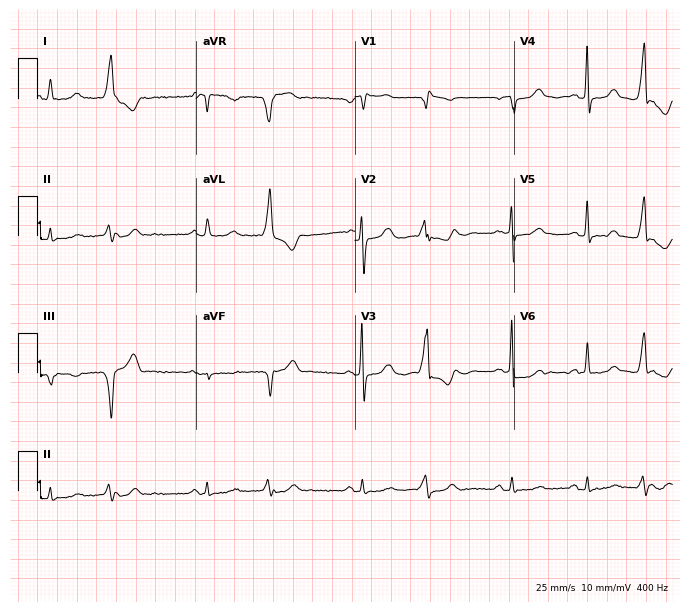
ECG — a female, 83 years old. Screened for six findings — first-degree AV block, right bundle branch block (RBBB), left bundle branch block (LBBB), sinus bradycardia, atrial fibrillation (AF), sinus tachycardia — none is recorded.